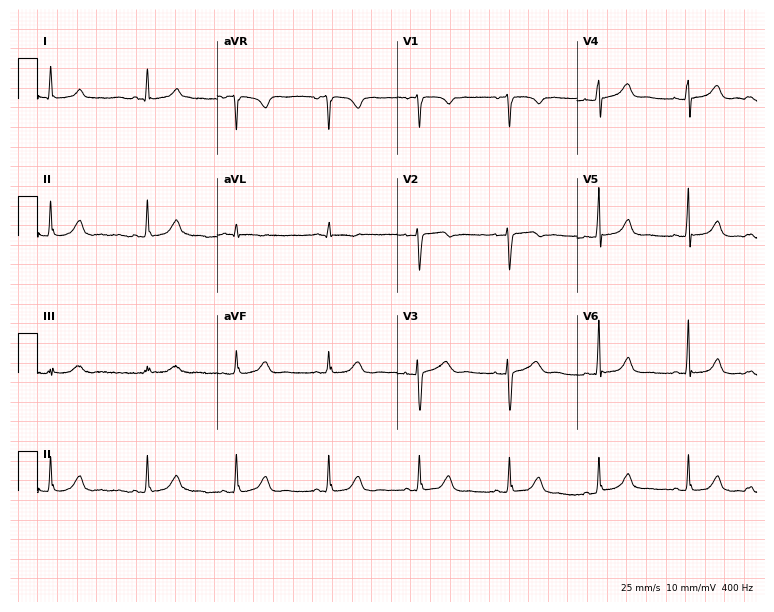
Electrocardiogram, a woman, 75 years old. Overall reading on record: normal ECG.